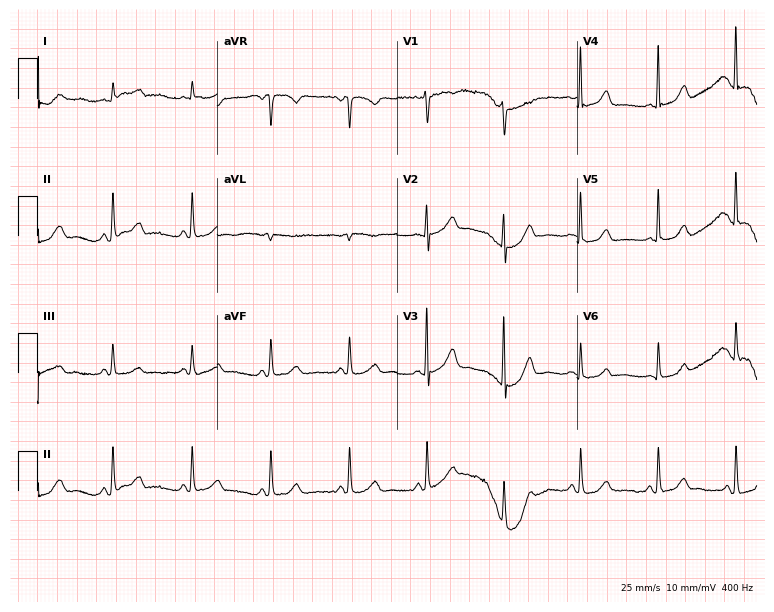
Resting 12-lead electrocardiogram (7.3-second recording at 400 Hz). Patient: an 85-year-old female. None of these six findings is recorded: first-degree AV block, right bundle branch block, left bundle branch block, sinus bradycardia, atrial fibrillation, sinus tachycardia.